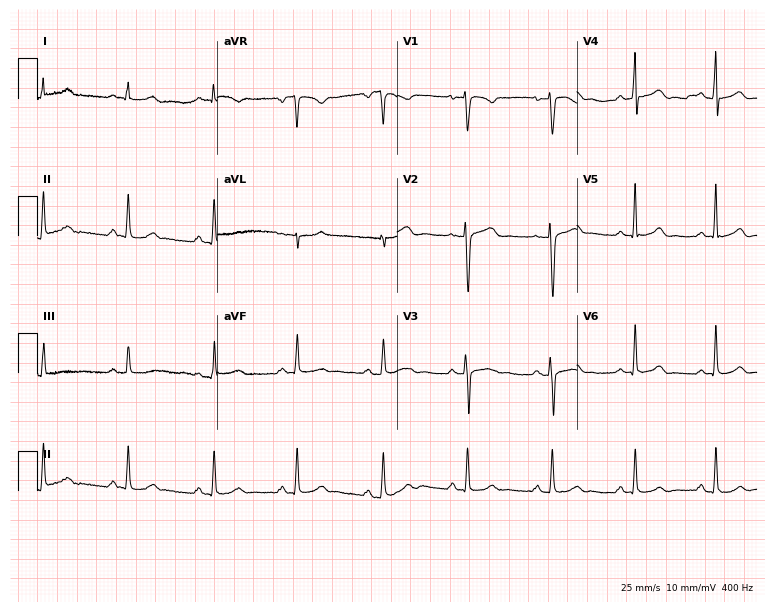
ECG (7.3-second recording at 400 Hz) — a woman, 27 years old. Labelled as a normal ECG.